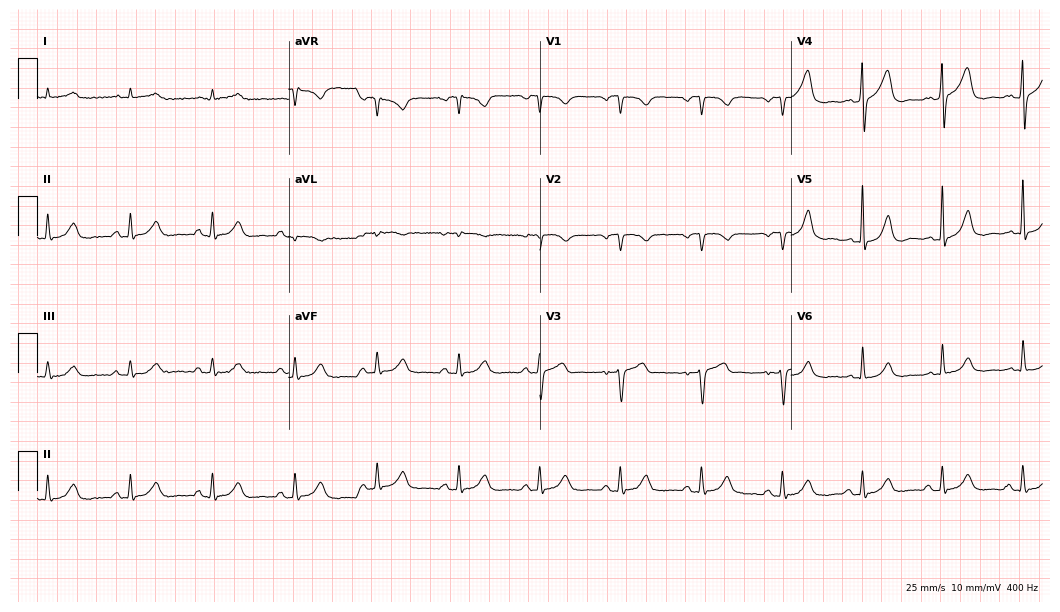
Standard 12-lead ECG recorded from a man, 78 years old. Read as a normal ECG.